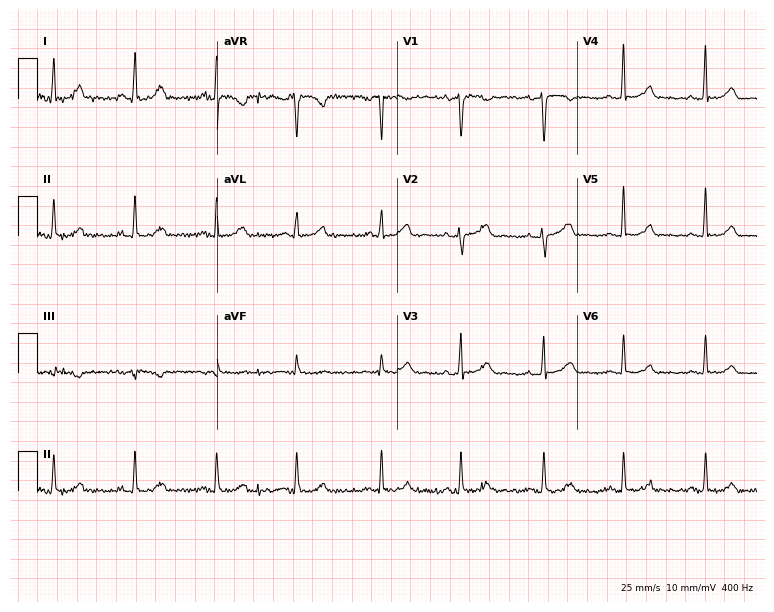
12-lead ECG from a 41-year-old female patient (7.3-second recording at 400 Hz). Recorded interpretation: within normal limits.